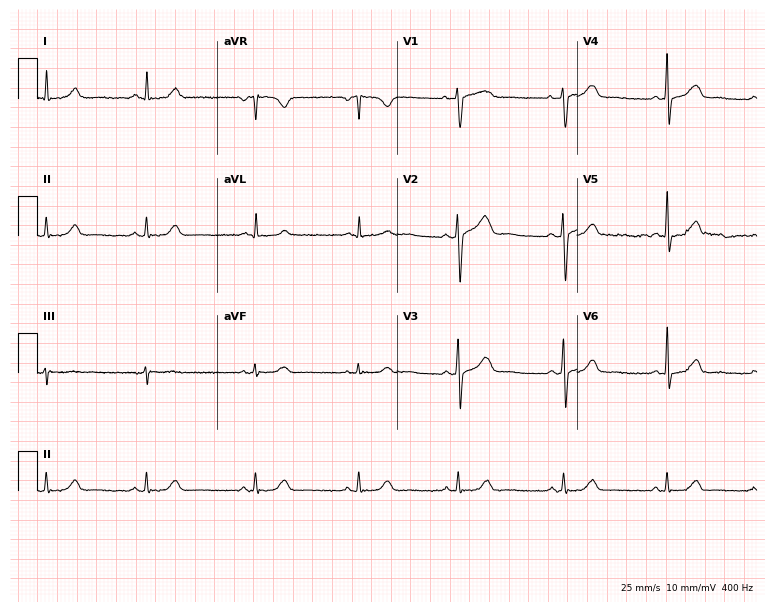
12-lead ECG from a 43-year-old woman. Screened for six findings — first-degree AV block, right bundle branch block, left bundle branch block, sinus bradycardia, atrial fibrillation, sinus tachycardia — none is recorded.